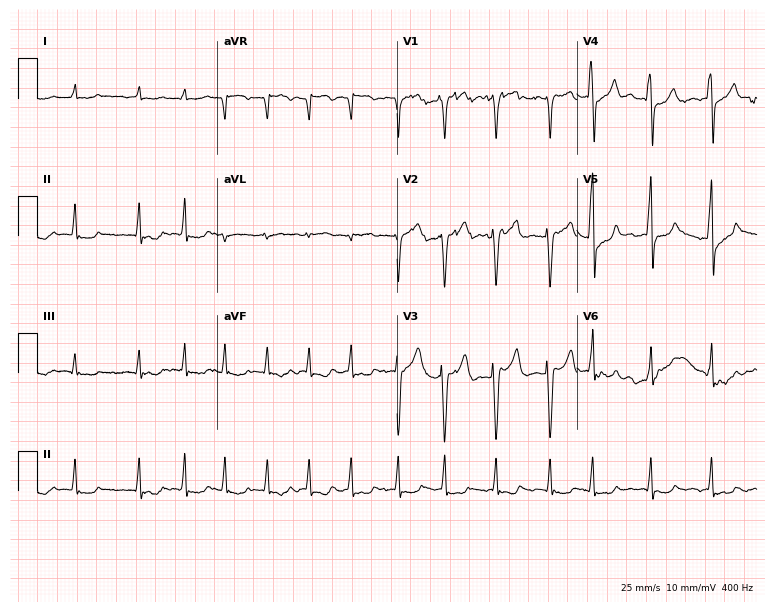
12-lead ECG (7.3-second recording at 400 Hz) from a 77-year-old male patient. Findings include atrial fibrillation.